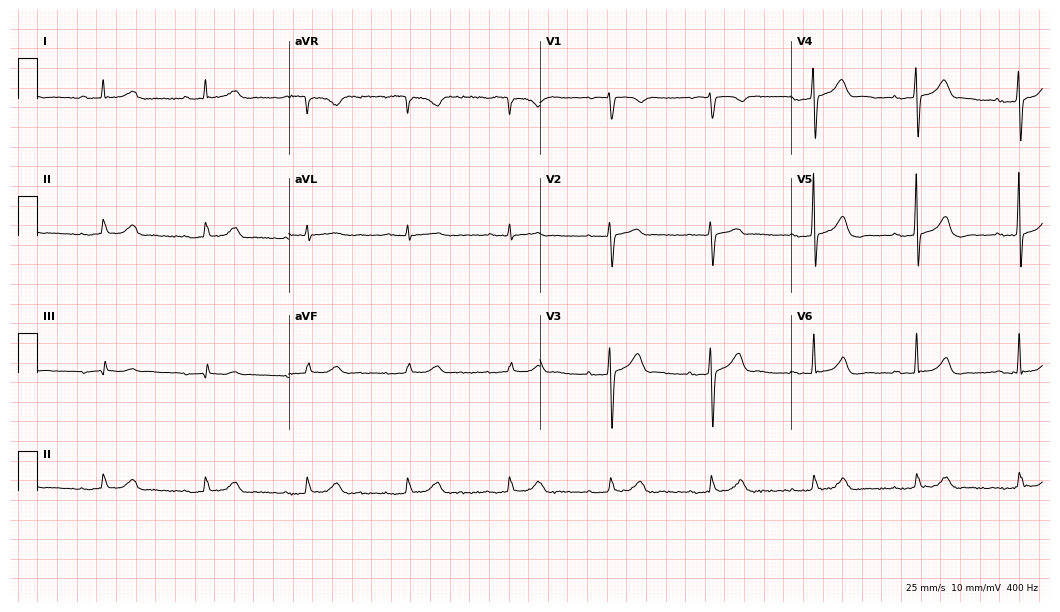
12-lead ECG from a man, 84 years old. Screened for six findings — first-degree AV block, right bundle branch block, left bundle branch block, sinus bradycardia, atrial fibrillation, sinus tachycardia — none is recorded. Only these six findings were labelled.